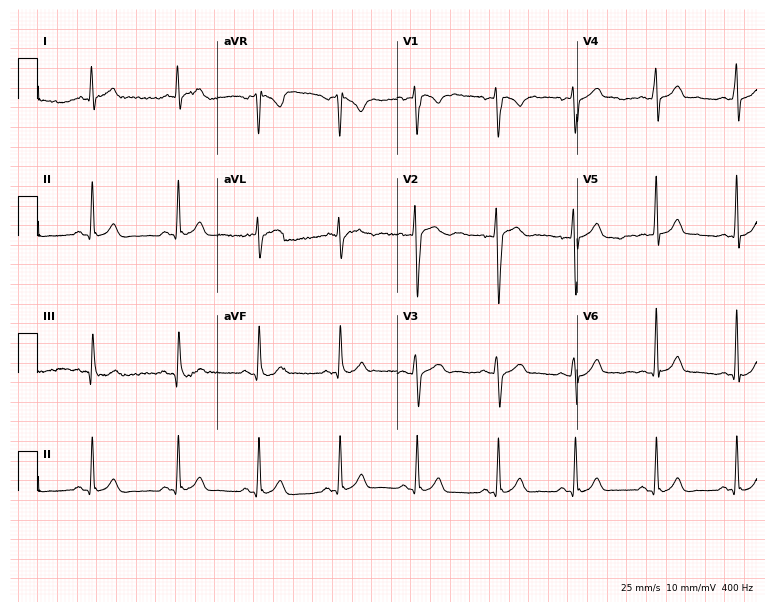
Standard 12-lead ECG recorded from a 22-year-old male (7.3-second recording at 400 Hz). Read as a normal ECG.